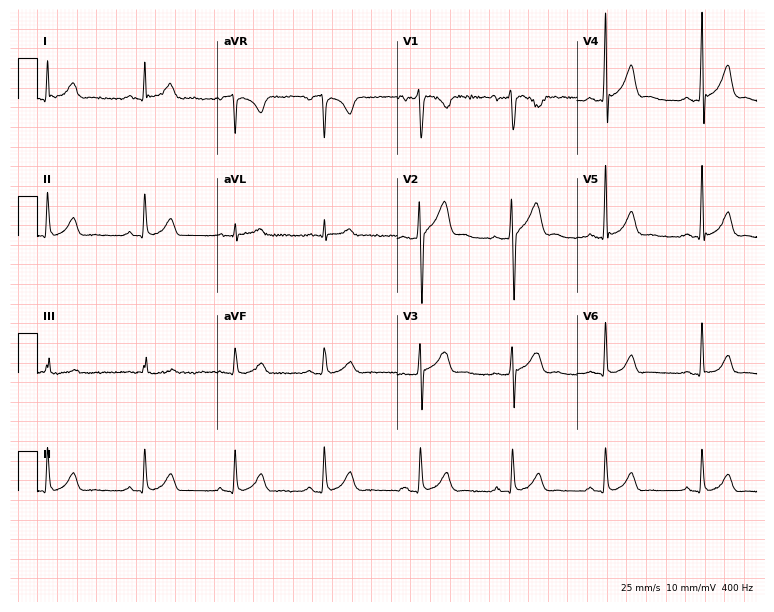
Resting 12-lead electrocardiogram (7.3-second recording at 400 Hz). Patient: a 34-year-old male. Read as a normal ECG.